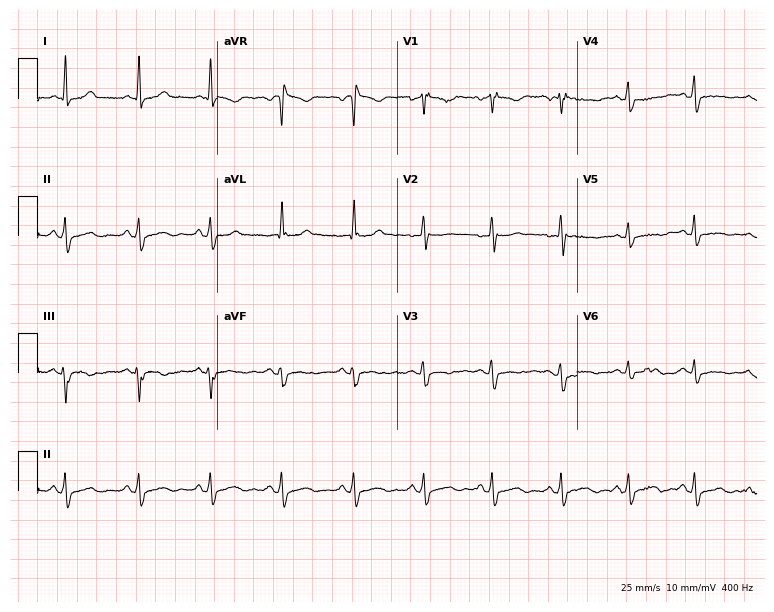
Standard 12-lead ECG recorded from a woman, 37 years old (7.3-second recording at 400 Hz). None of these six findings is recorded: first-degree AV block, right bundle branch block, left bundle branch block, sinus bradycardia, atrial fibrillation, sinus tachycardia. Other findings, if any, are not listed.